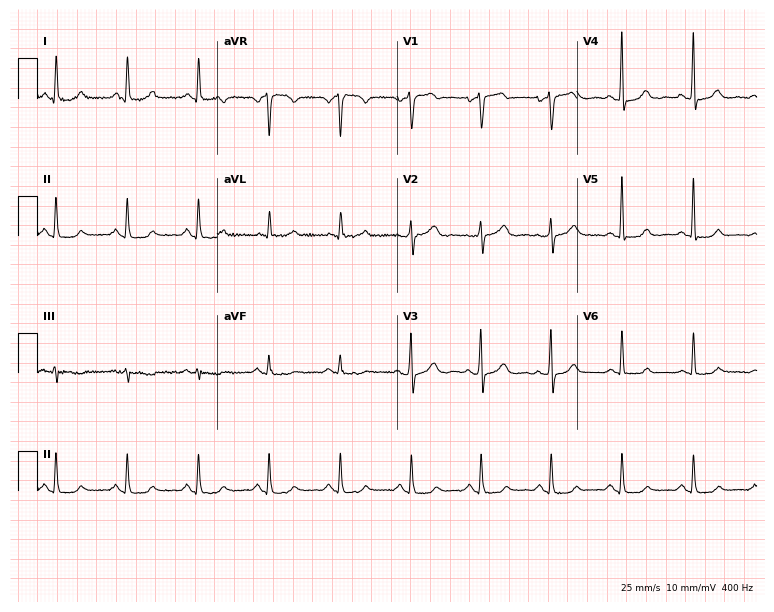
Resting 12-lead electrocardiogram (7.3-second recording at 400 Hz). Patient: a 62-year-old female. Read as a normal ECG.